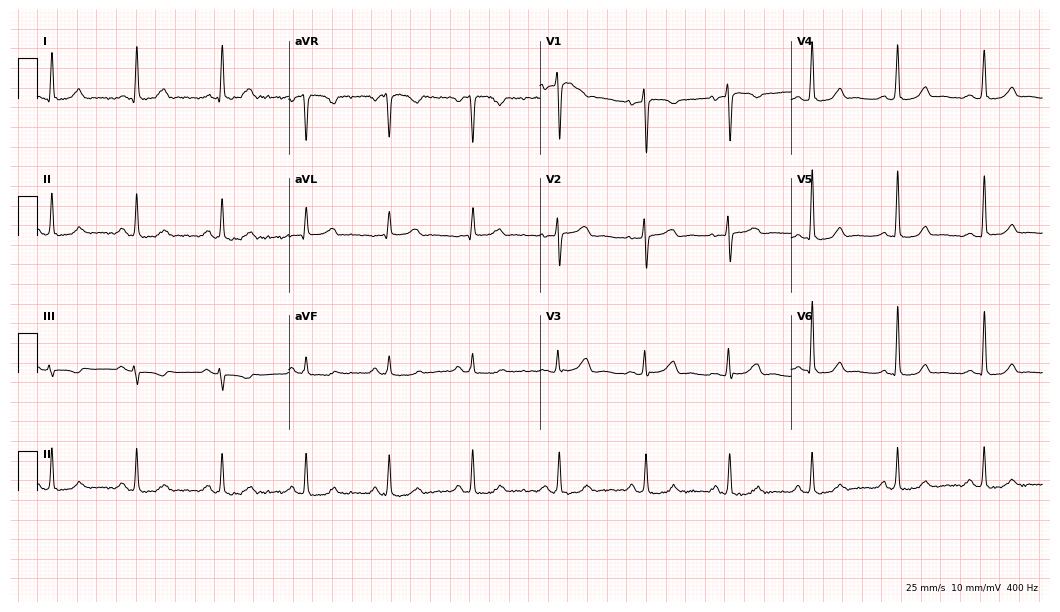
Standard 12-lead ECG recorded from a 43-year-old woman. Read as a normal ECG.